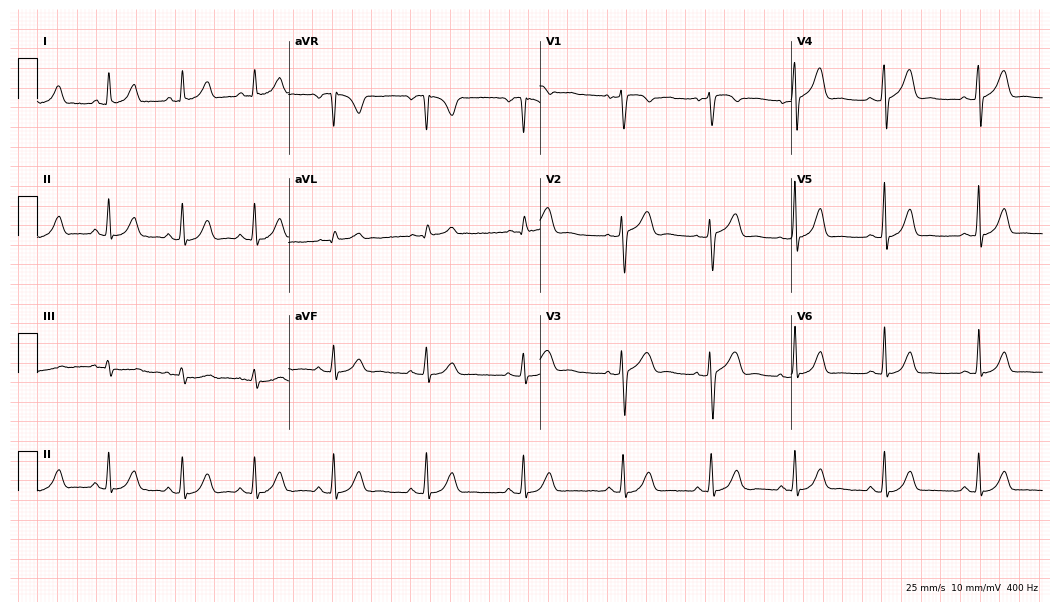
Standard 12-lead ECG recorded from a 39-year-old female patient (10.2-second recording at 400 Hz). None of these six findings is recorded: first-degree AV block, right bundle branch block (RBBB), left bundle branch block (LBBB), sinus bradycardia, atrial fibrillation (AF), sinus tachycardia.